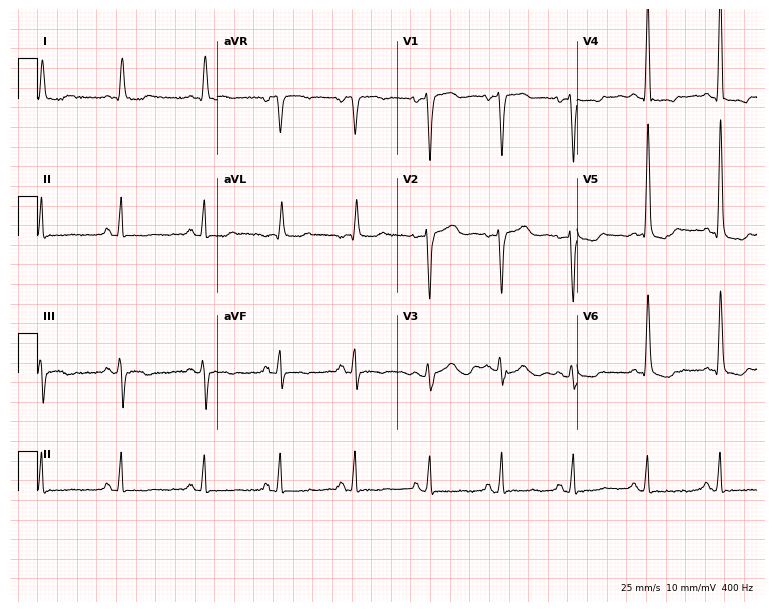
12-lead ECG from a 58-year-old female patient. No first-degree AV block, right bundle branch block, left bundle branch block, sinus bradycardia, atrial fibrillation or sinus tachycardia recorded for this tracing.